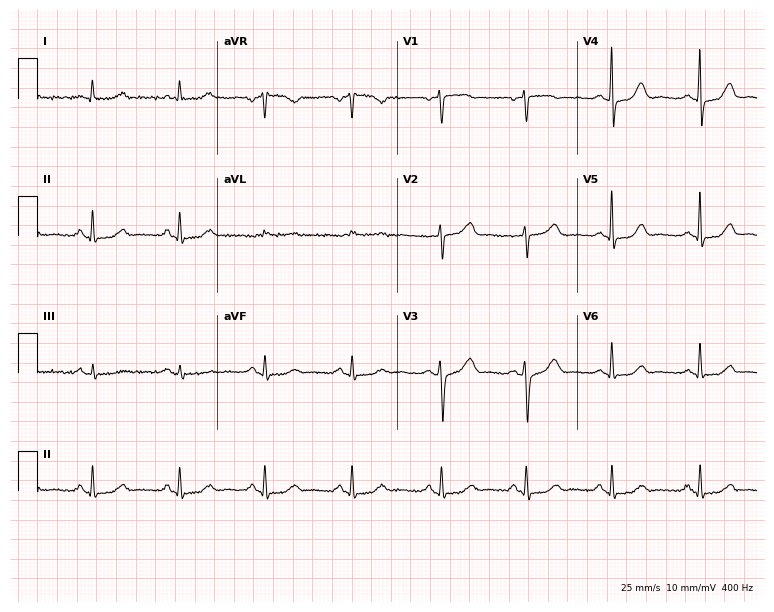
12-lead ECG from a female, 60 years old. Recorded interpretation: within normal limits.